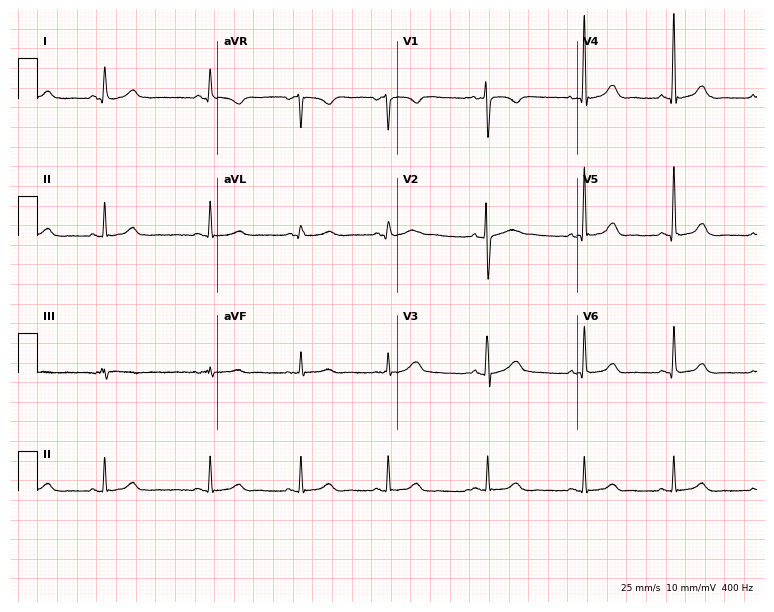
12-lead ECG (7.3-second recording at 400 Hz) from a woman, 45 years old. Screened for six findings — first-degree AV block, right bundle branch block, left bundle branch block, sinus bradycardia, atrial fibrillation, sinus tachycardia — none is recorded.